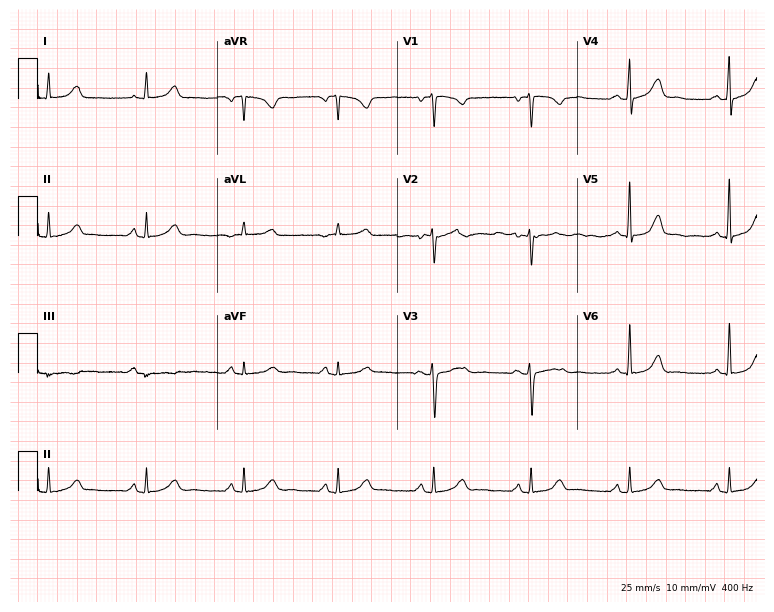
12-lead ECG (7.3-second recording at 400 Hz) from a 49-year-old female patient. Labelled as a normal ECG.